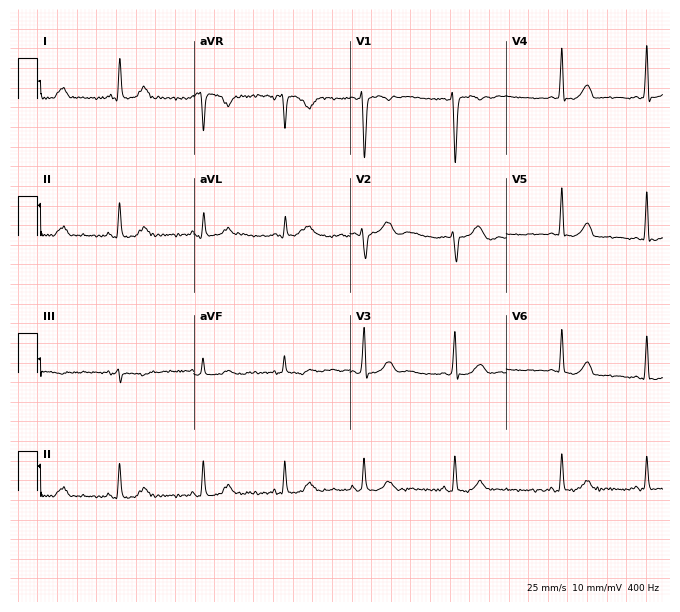
12-lead ECG from a female patient, 32 years old (6.4-second recording at 400 Hz). Recorded interpretation: within normal limits.